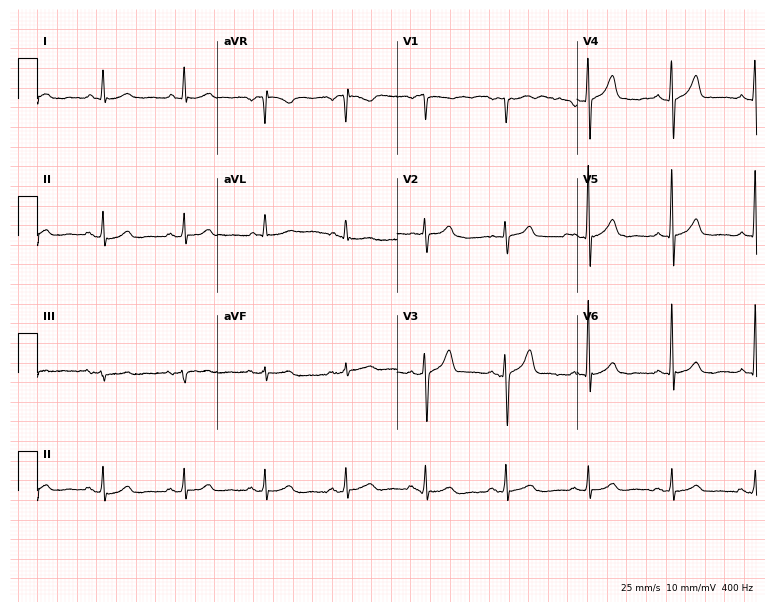
12-lead ECG from a male, 64 years old. Recorded interpretation: within normal limits.